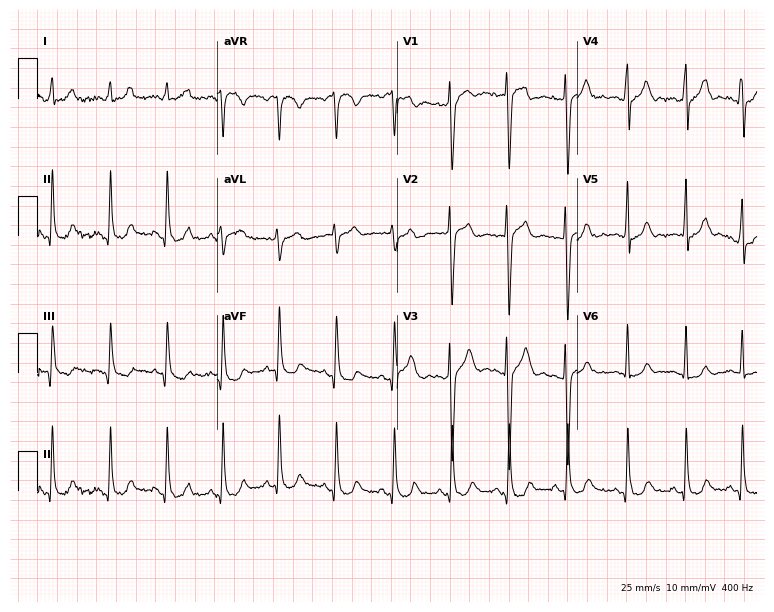
Resting 12-lead electrocardiogram (7.3-second recording at 400 Hz). Patient: a 33-year-old male. Read as a normal ECG.